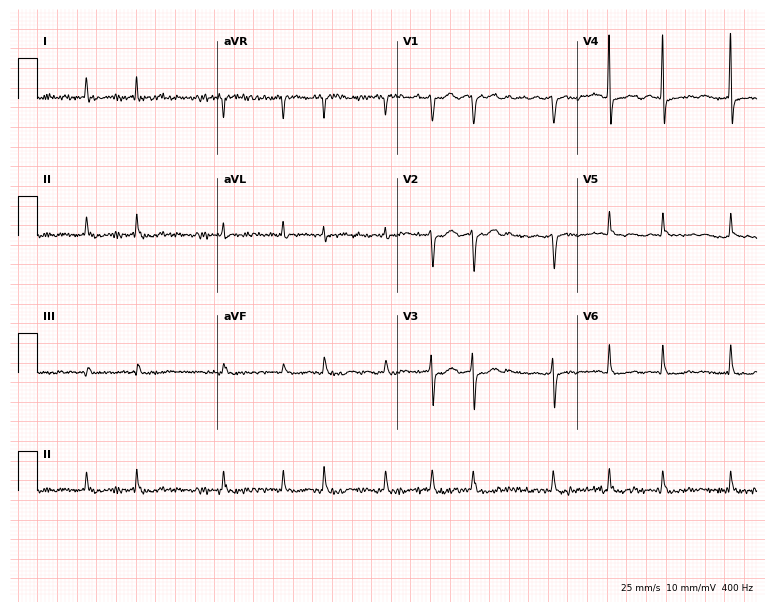
12-lead ECG from a woman, 85 years old. Findings include atrial fibrillation.